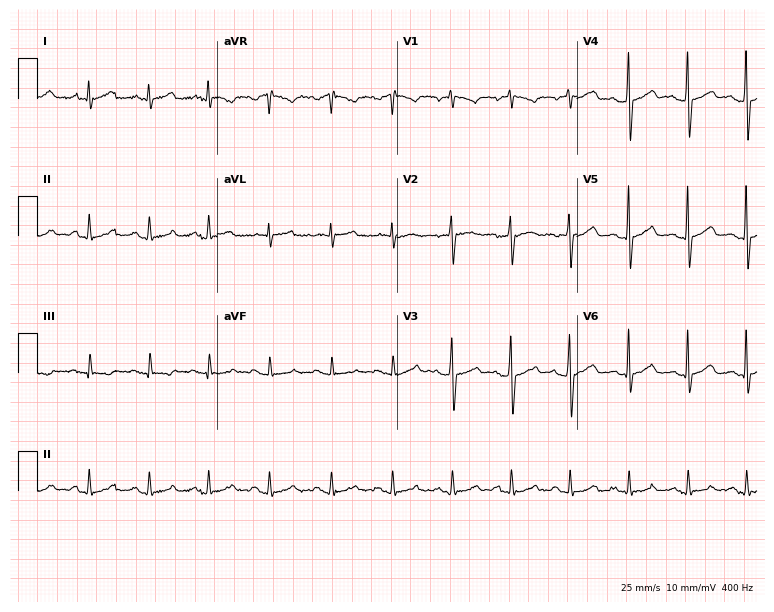
12-lead ECG from a 55-year-old male. Screened for six findings — first-degree AV block, right bundle branch block, left bundle branch block, sinus bradycardia, atrial fibrillation, sinus tachycardia — none is recorded.